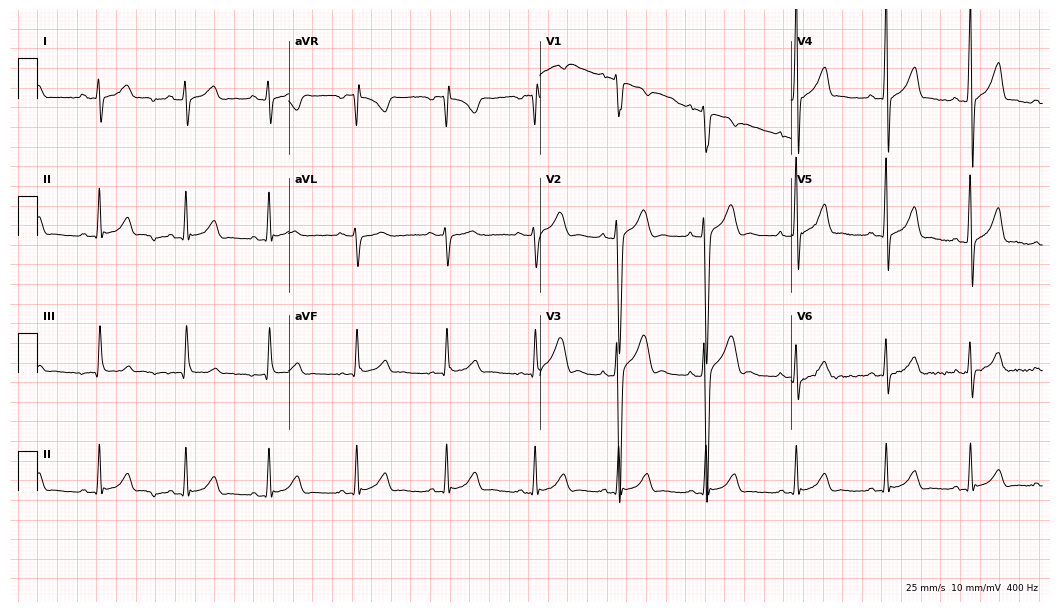
Standard 12-lead ECG recorded from a male, 18 years old. None of these six findings is recorded: first-degree AV block, right bundle branch block (RBBB), left bundle branch block (LBBB), sinus bradycardia, atrial fibrillation (AF), sinus tachycardia. Other findings, if any, are not listed.